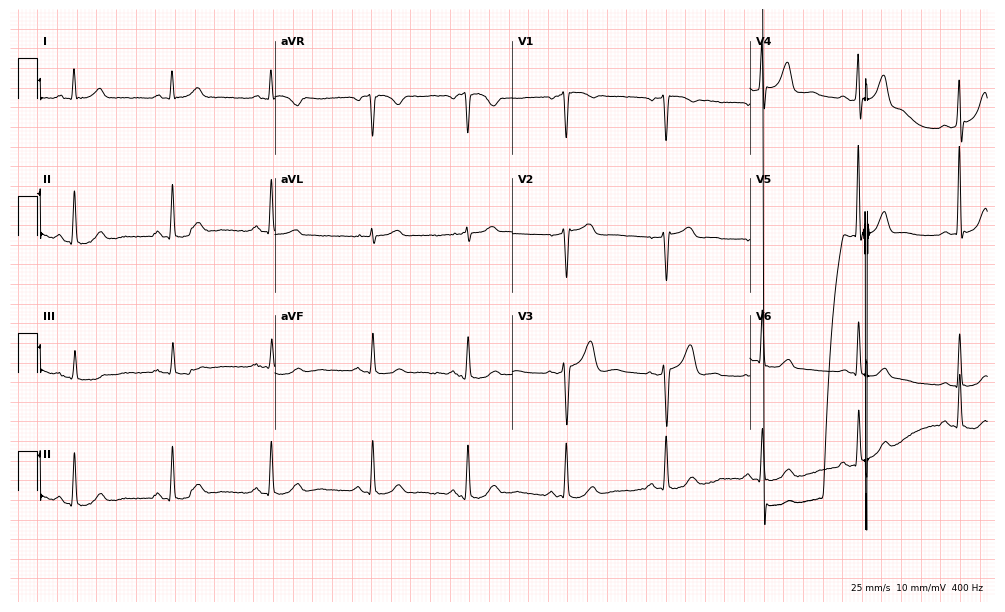
Standard 12-lead ECG recorded from a 56-year-old male patient (9.7-second recording at 400 Hz). Read as a normal ECG.